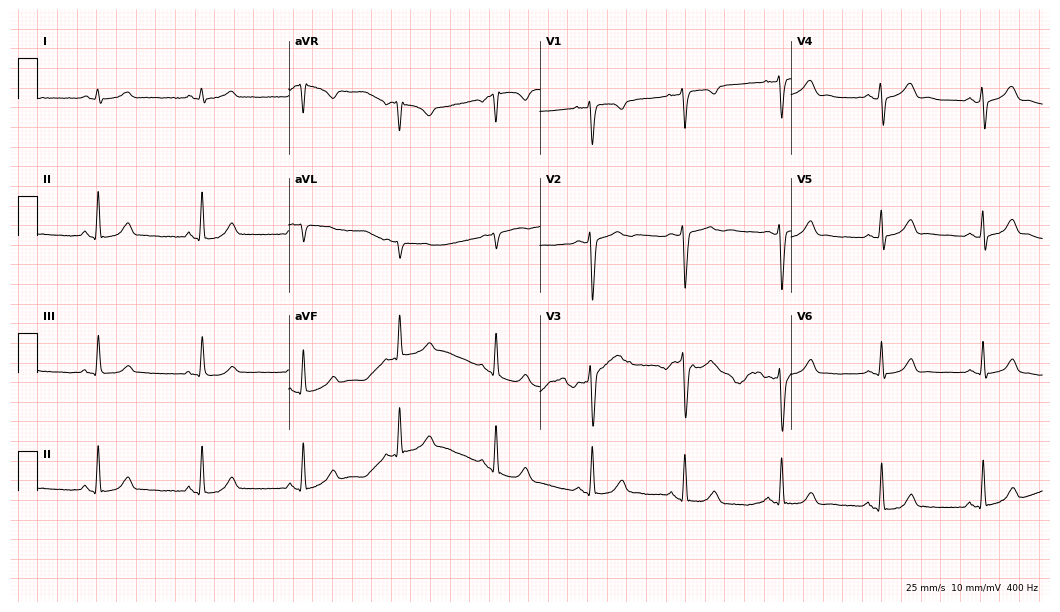
12-lead ECG (10.2-second recording at 400 Hz) from a 33-year-old woman. Labelled as a normal ECG.